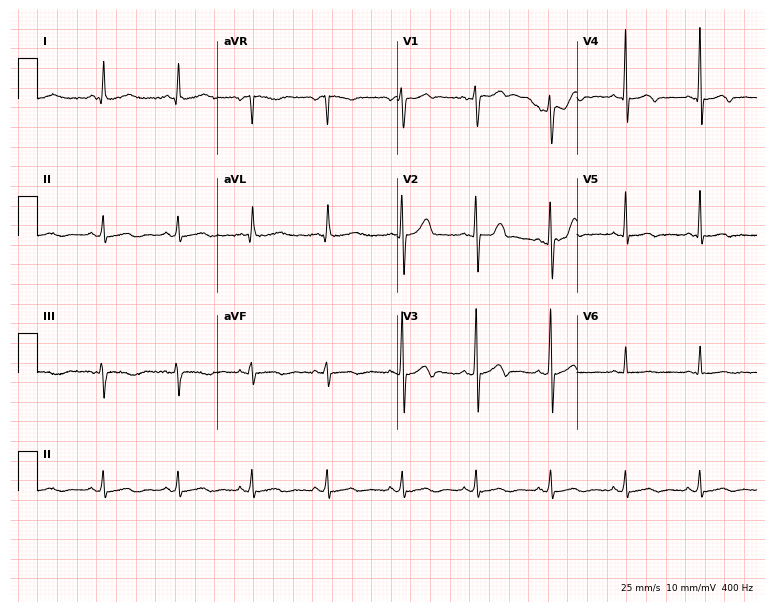
12-lead ECG from a 37-year-old male (7.3-second recording at 400 Hz). No first-degree AV block, right bundle branch block (RBBB), left bundle branch block (LBBB), sinus bradycardia, atrial fibrillation (AF) or sinus tachycardia recorded for this tracing.